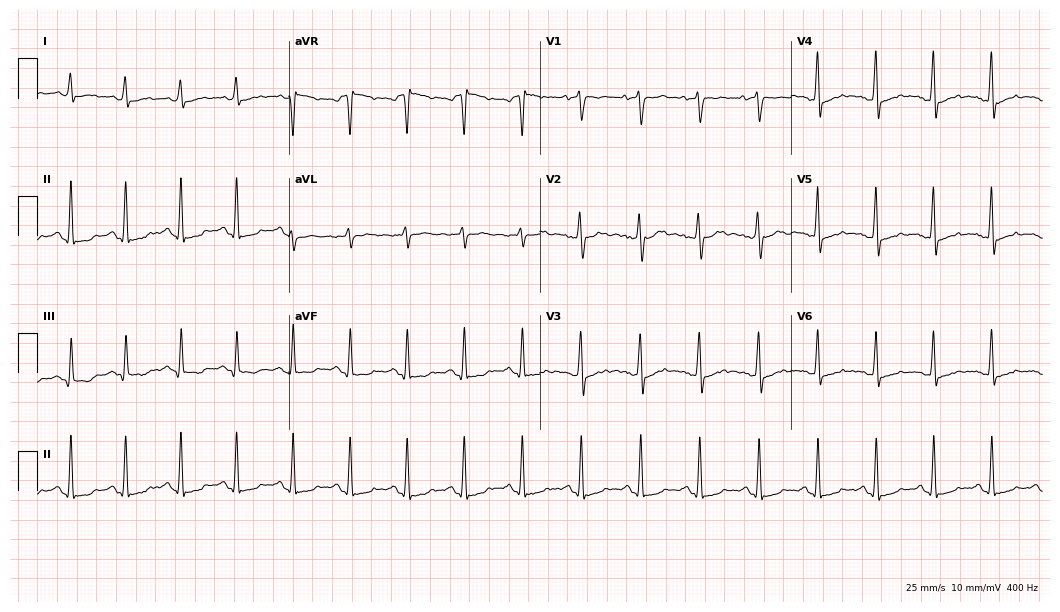
ECG — a 31-year-old male patient. Findings include sinus tachycardia (a sinus rate of 100 beats per minute or more).